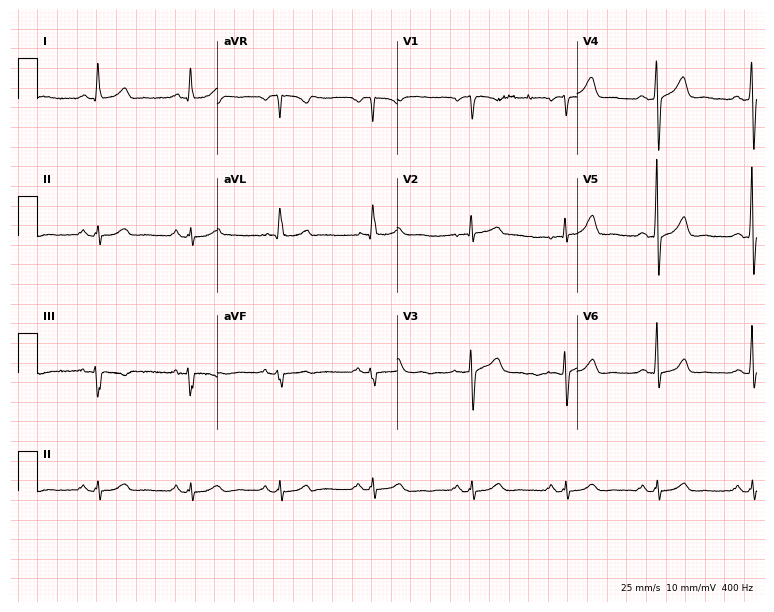
Resting 12-lead electrocardiogram (7.3-second recording at 400 Hz). Patient: a 68-year-old male. Read as a normal ECG.